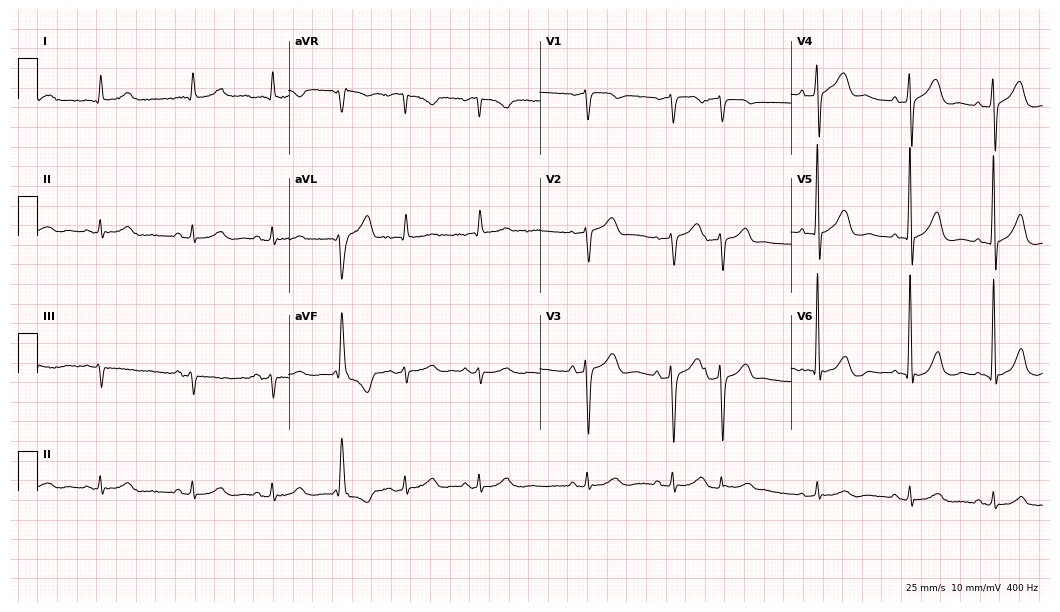
Electrocardiogram (10.2-second recording at 400 Hz), a male, 81 years old. Of the six screened findings (first-degree AV block, right bundle branch block, left bundle branch block, sinus bradycardia, atrial fibrillation, sinus tachycardia), none is recorded.